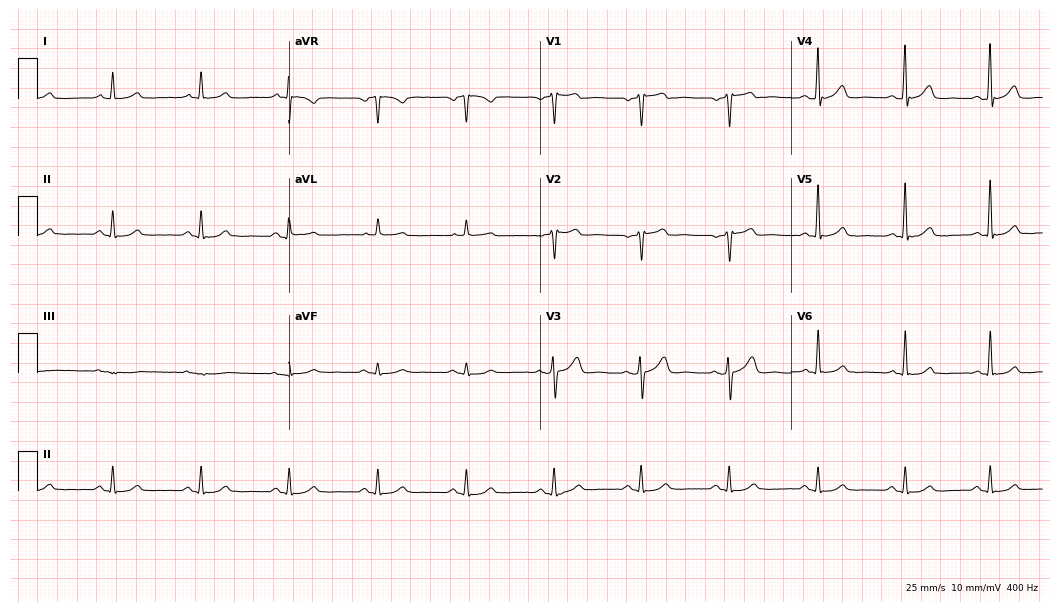
Standard 12-lead ECG recorded from a man, 63 years old. Read as a normal ECG.